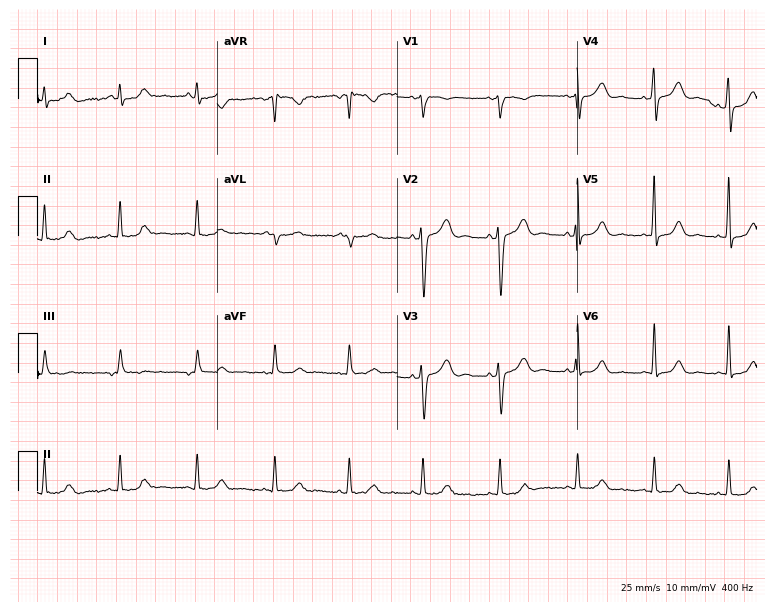
Standard 12-lead ECG recorded from a woman, 44 years old (7.3-second recording at 400 Hz). None of these six findings is recorded: first-degree AV block, right bundle branch block (RBBB), left bundle branch block (LBBB), sinus bradycardia, atrial fibrillation (AF), sinus tachycardia. Findings outside these six are not listed.